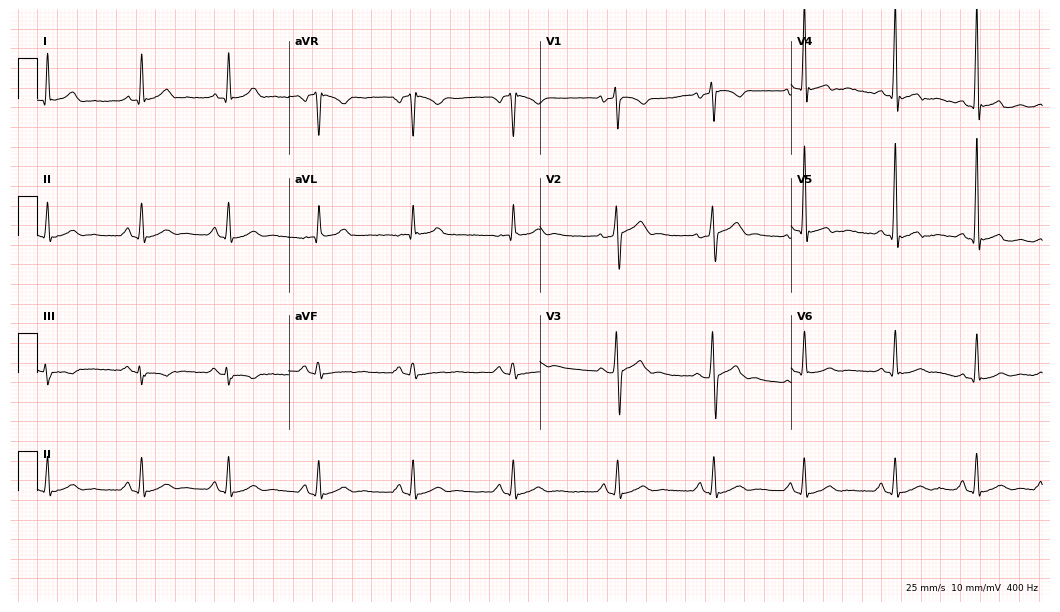
12-lead ECG from a woman, 28 years old (10.2-second recording at 400 Hz). Recorded interpretation: within normal limits.